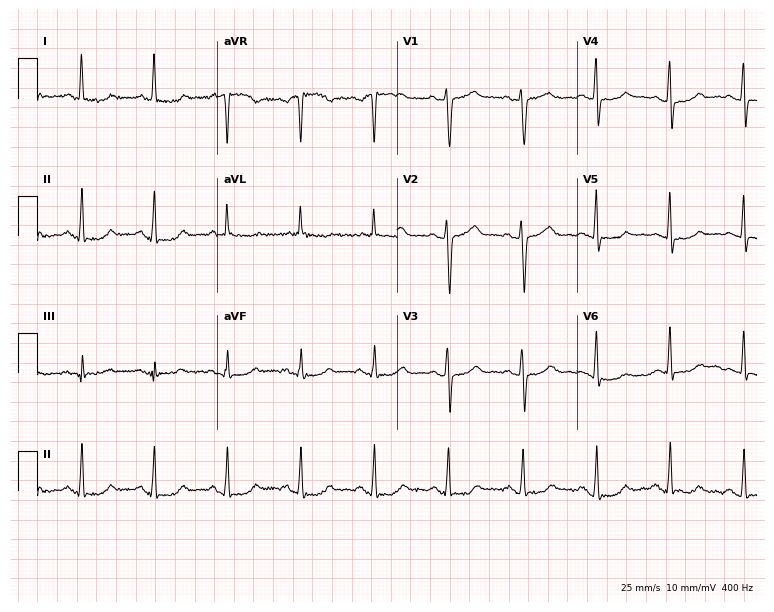
12-lead ECG from a female patient, 57 years old. Screened for six findings — first-degree AV block, right bundle branch block (RBBB), left bundle branch block (LBBB), sinus bradycardia, atrial fibrillation (AF), sinus tachycardia — none is recorded.